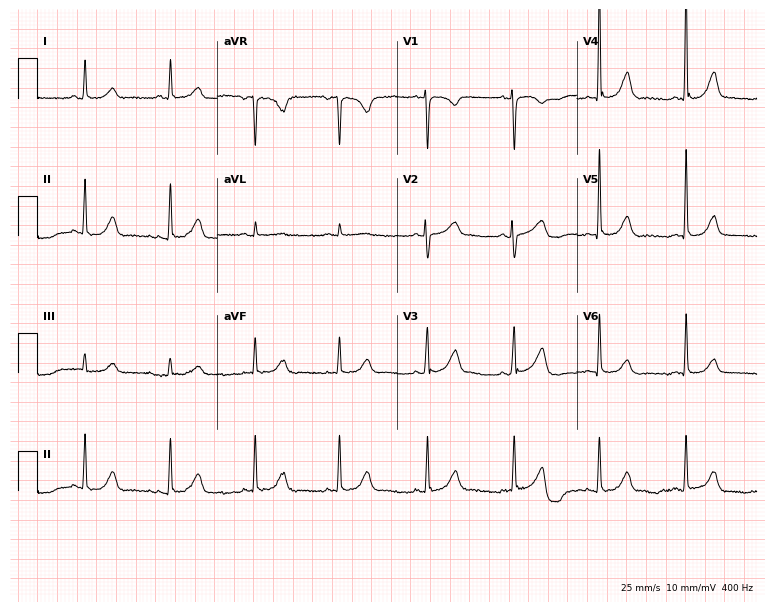
12-lead ECG from a female, 43 years old. Recorded interpretation: within normal limits.